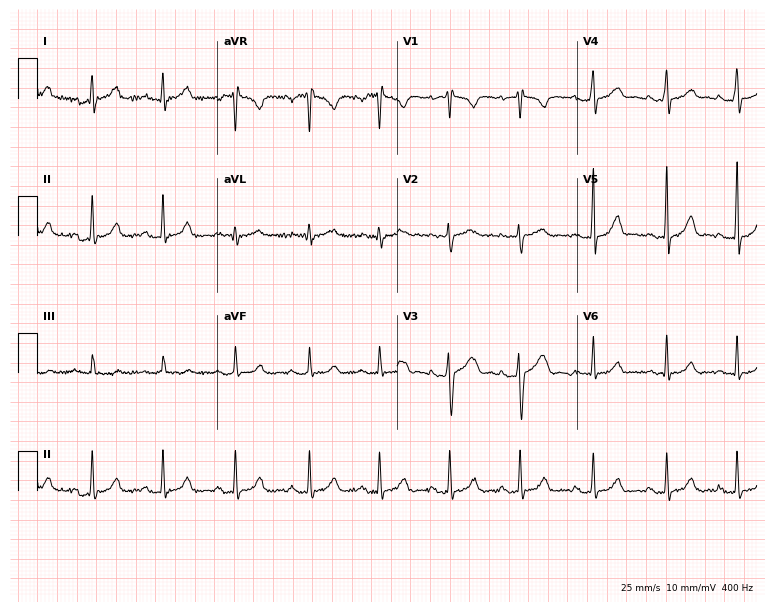
Standard 12-lead ECG recorded from a female, 25 years old. None of these six findings is recorded: first-degree AV block, right bundle branch block (RBBB), left bundle branch block (LBBB), sinus bradycardia, atrial fibrillation (AF), sinus tachycardia.